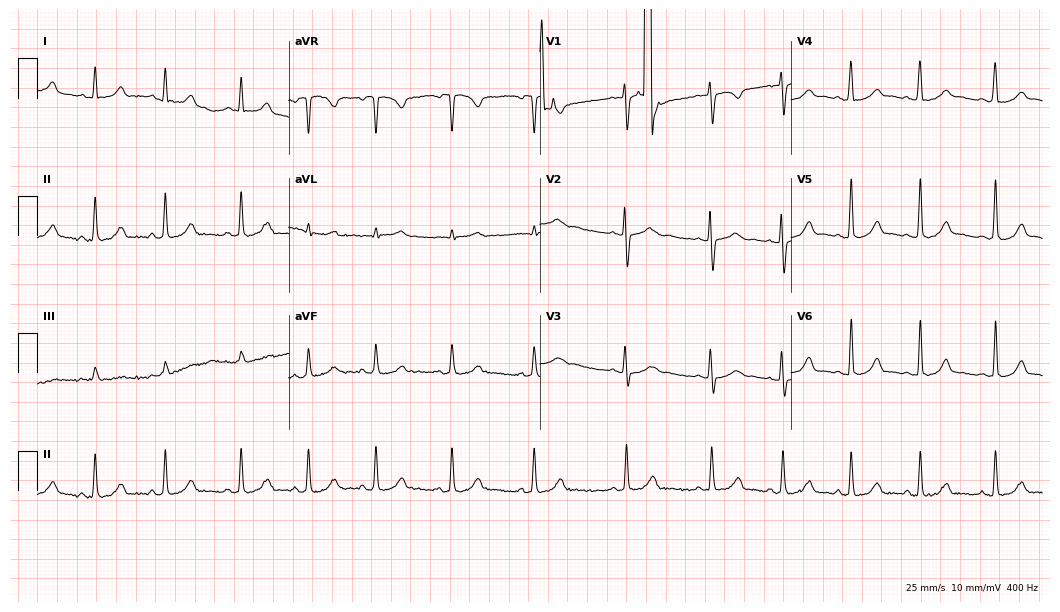
12-lead ECG from a female patient, 46 years old (10.2-second recording at 400 Hz). No first-degree AV block, right bundle branch block, left bundle branch block, sinus bradycardia, atrial fibrillation or sinus tachycardia recorded for this tracing.